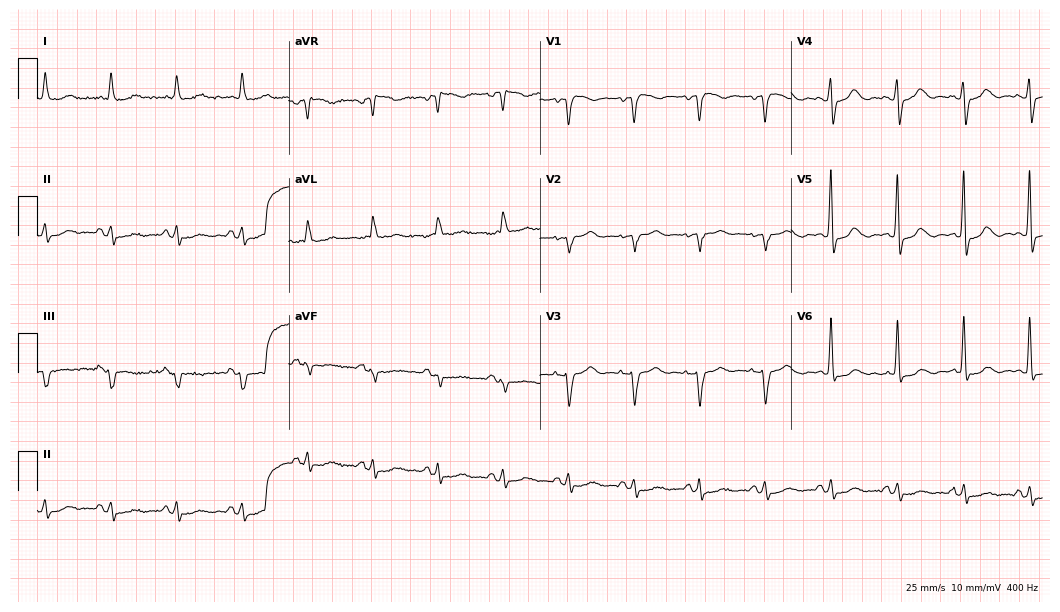
Electrocardiogram (10.2-second recording at 400 Hz), an 82-year-old female. Of the six screened findings (first-degree AV block, right bundle branch block, left bundle branch block, sinus bradycardia, atrial fibrillation, sinus tachycardia), none is recorded.